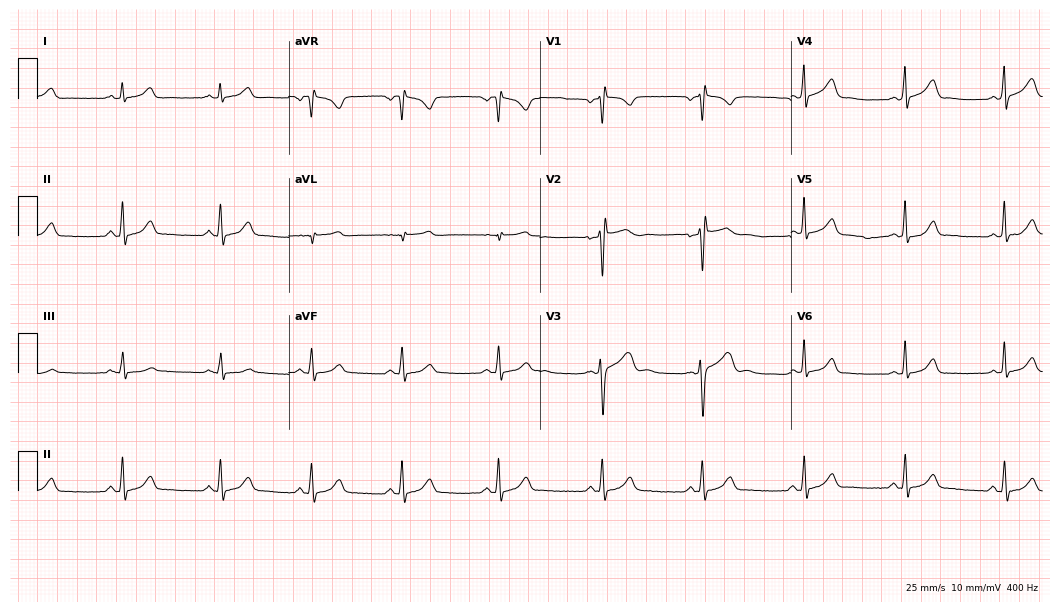
Resting 12-lead electrocardiogram (10.2-second recording at 400 Hz). Patient: a 29-year-old female. Read as a normal ECG.